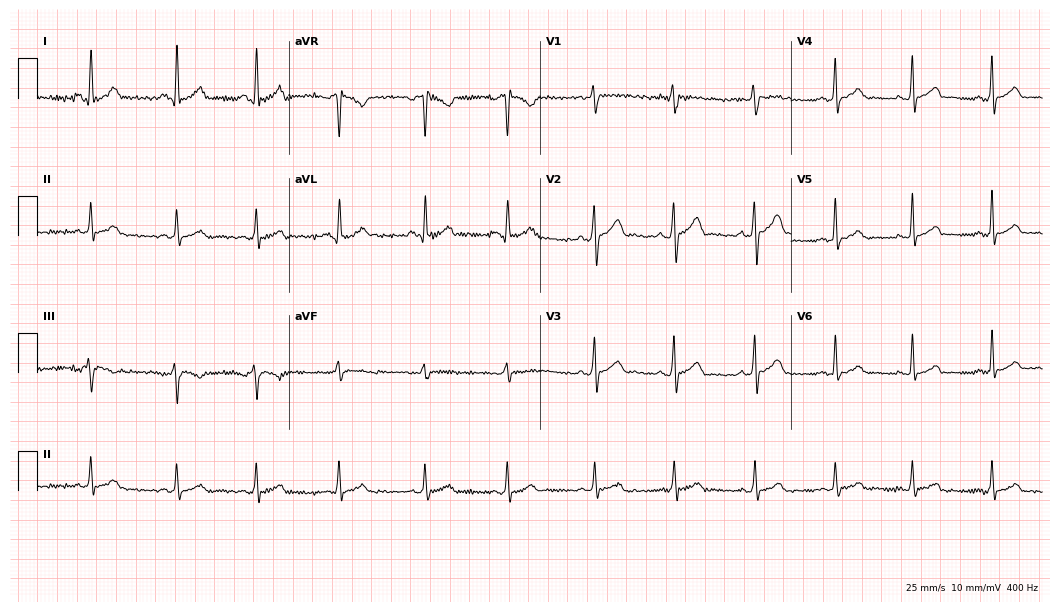
Standard 12-lead ECG recorded from a male, 30 years old (10.2-second recording at 400 Hz). None of these six findings is recorded: first-degree AV block, right bundle branch block (RBBB), left bundle branch block (LBBB), sinus bradycardia, atrial fibrillation (AF), sinus tachycardia. Only these six findings were labelled.